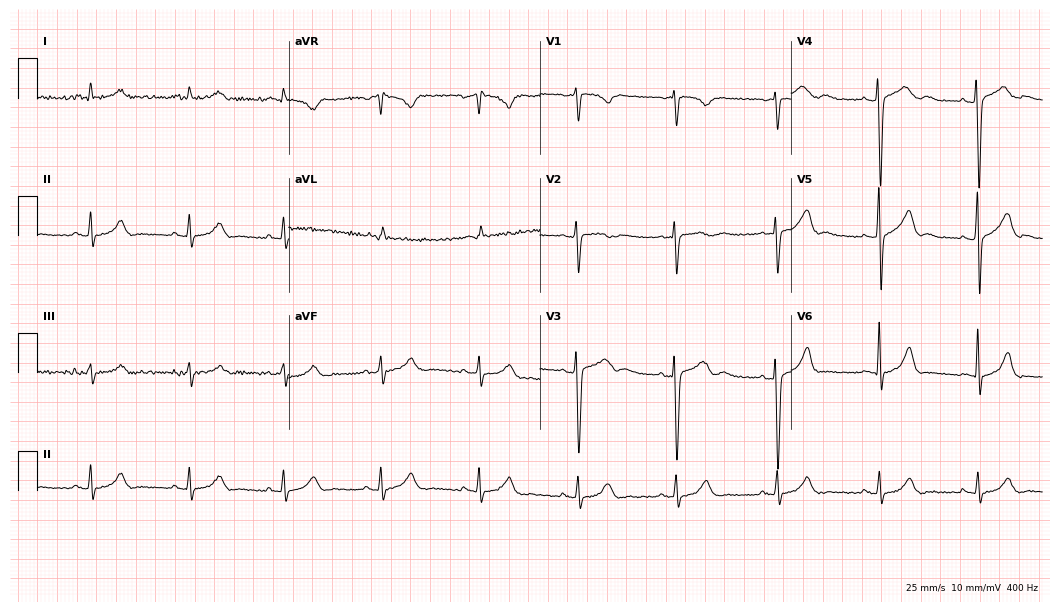
12-lead ECG from a man, 43 years old. Labelled as a normal ECG.